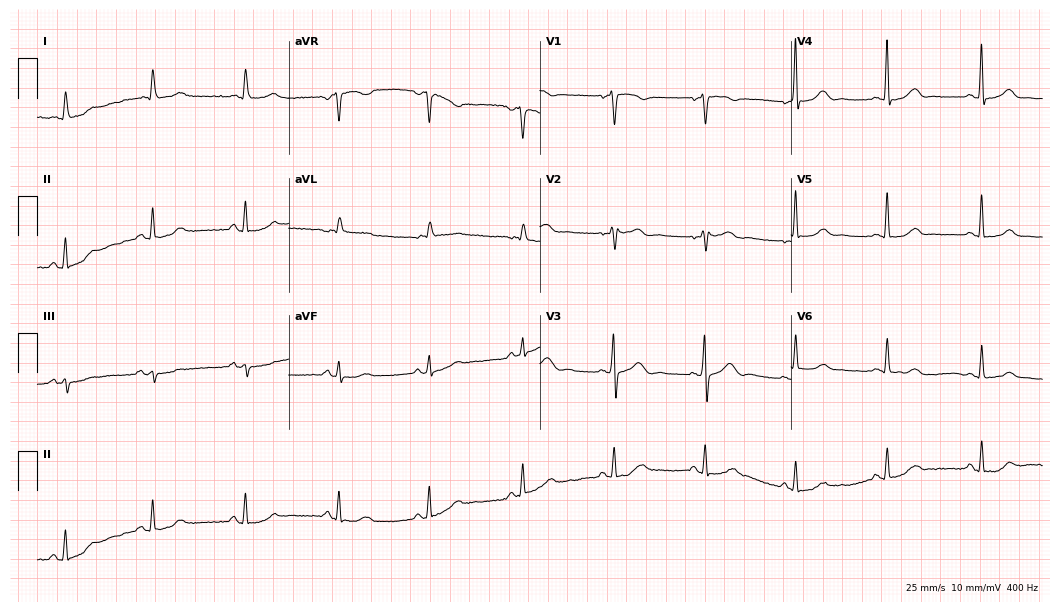
Standard 12-lead ECG recorded from a 52-year-old female patient (10.2-second recording at 400 Hz). Read as a normal ECG.